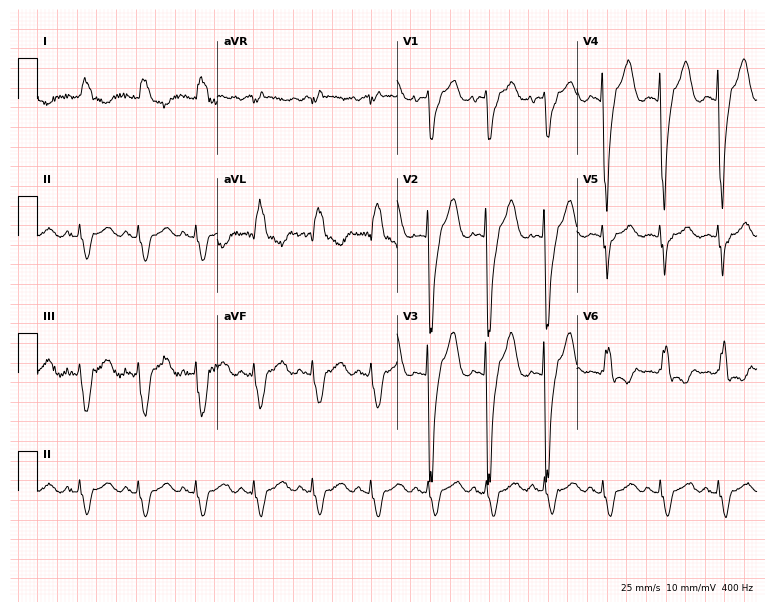
Standard 12-lead ECG recorded from a 77-year-old female (7.3-second recording at 400 Hz). The tracing shows left bundle branch block (LBBB).